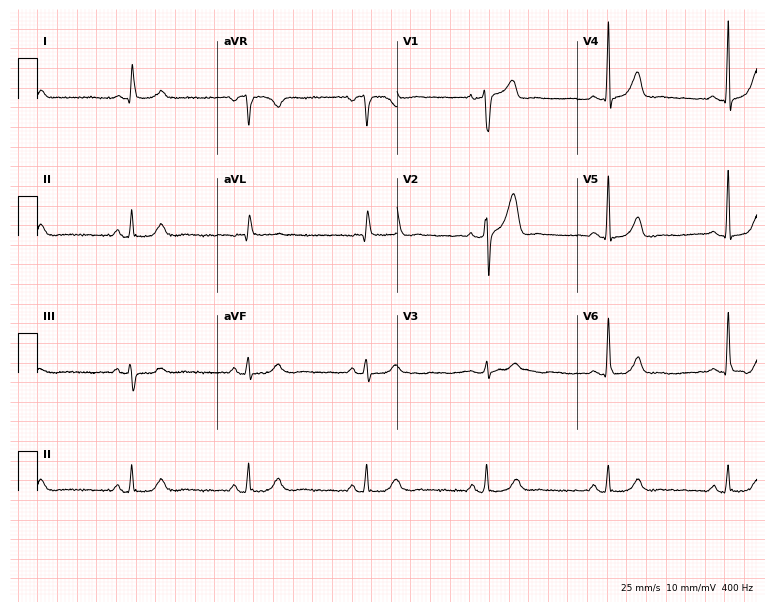
Electrocardiogram, a male patient, 49 years old. Overall reading on record: normal ECG.